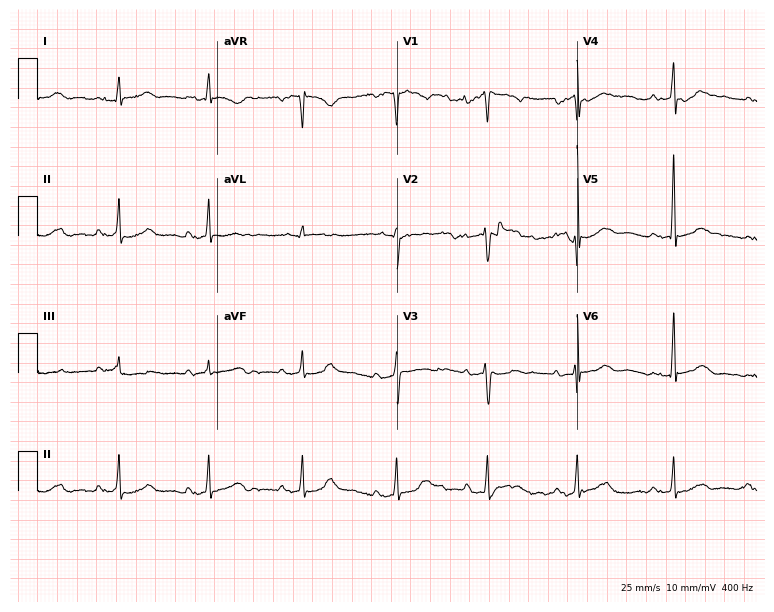
Electrocardiogram (7.3-second recording at 400 Hz), a female, 60 years old. Interpretation includes first-degree AV block.